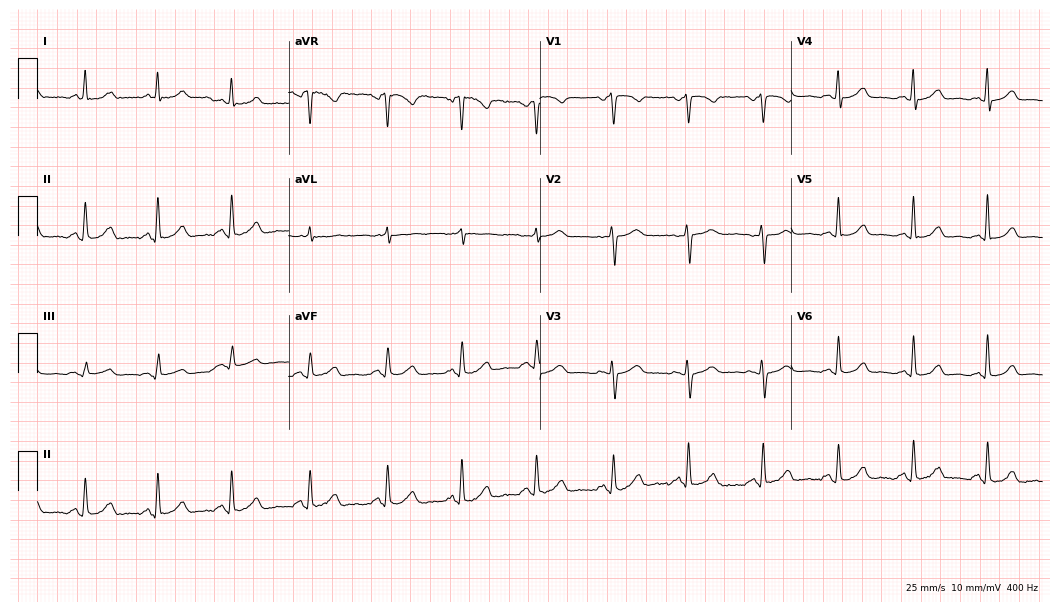
Electrocardiogram (10.2-second recording at 400 Hz), a 57-year-old female patient. Of the six screened findings (first-degree AV block, right bundle branch block (RBBB), left bundle branch block (LBBB), sinus bradycardia, atrial fibrillation (AF), sinus tachycardia), none is recorded.